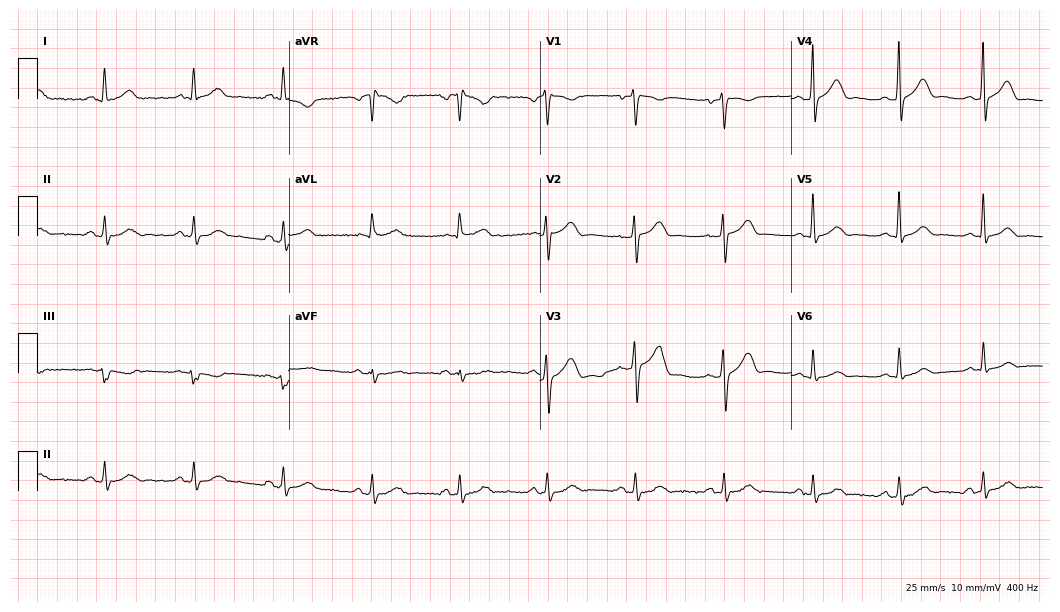
Resting 12-lead electrocardiogram (10.2-second recording at 400 Hz). Patient: a male, 43 years old. Read as a normal ECG.